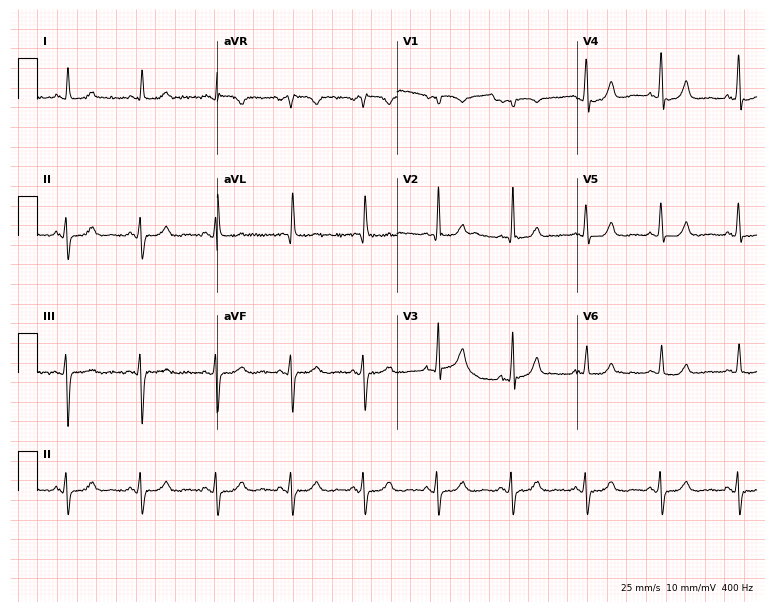
Resting 12-lead electrocardiogram. Patient: a 64-year-old woman. None of these six findings is recorded: first-degree AV block, right bundle branch block, left bundle branch block, sinus bradycardia, atrial fibrillation, sinus tachycardia.